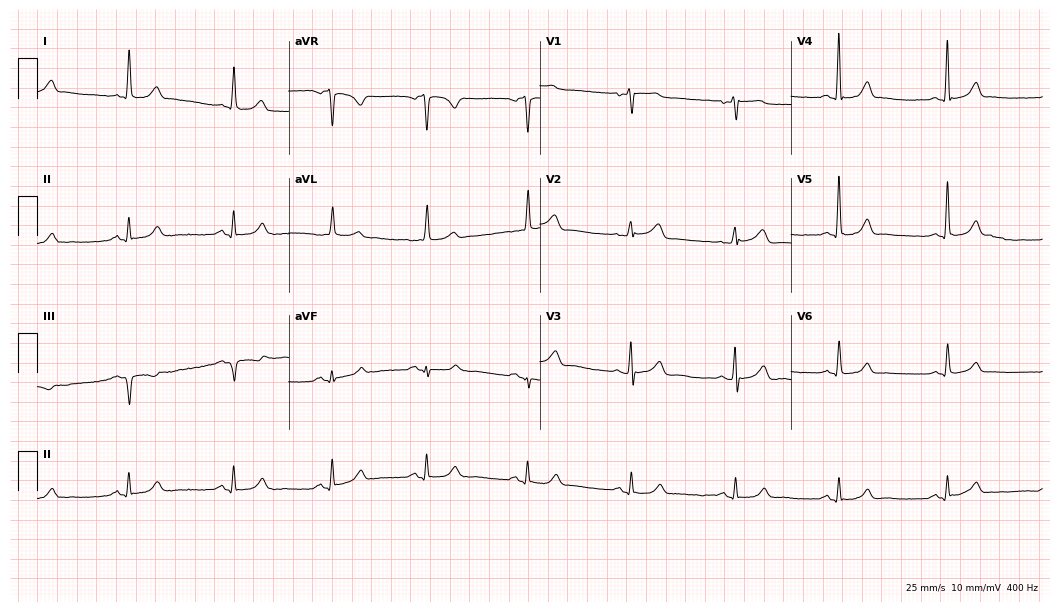
ECG — a woman, 75 years old. Labelled as a normal ECG.